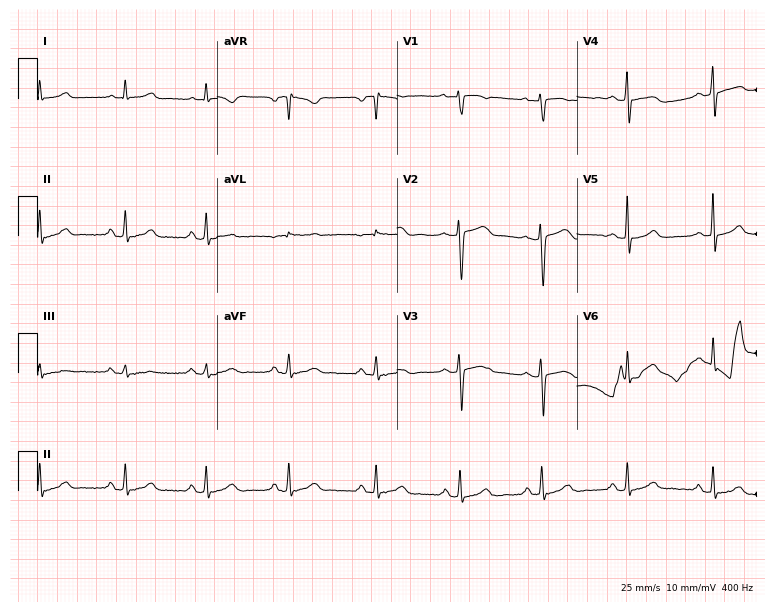
ECG — a 40-year-old female patient. Screened for six findings — first-degree AV block, right bundle branch block (RBBB), left bundle branch block (LBBB), sinus bradycardia, atrial fibrillation (AF), sinus tachycardia — none is recorded. Findings outside these six are not listed.